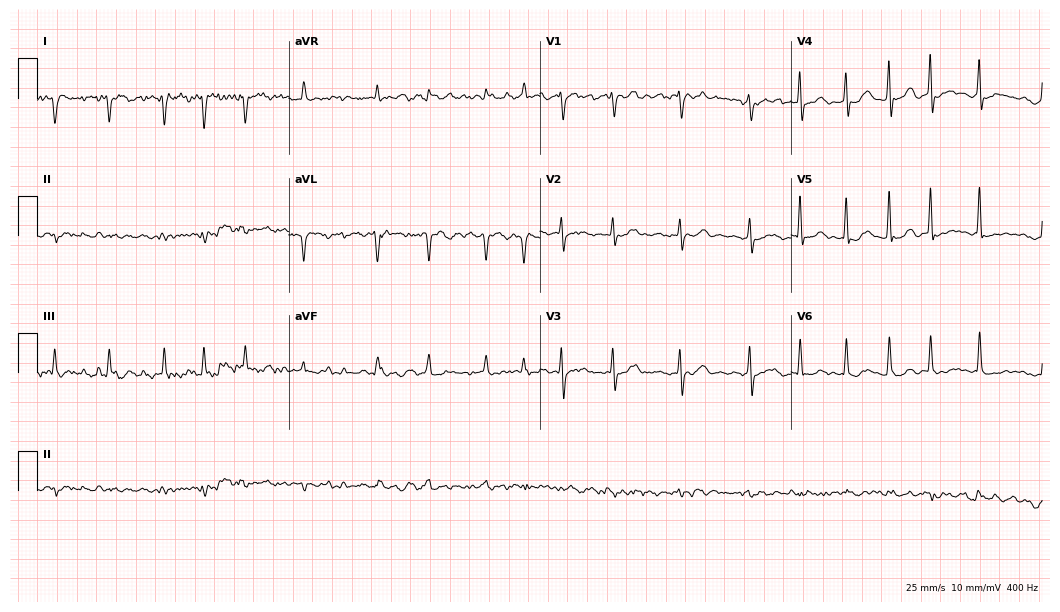
ECG (10.2-second recording at 400 Hz) — a female patient, 73 years old. Screened for six findings — first-degree AV block, right bundle branch block (RBBB), left bundle branch block (LBBB), sinus bradycardia, atrial fibrillation (AF), sinus tachycardia — none is recorded.